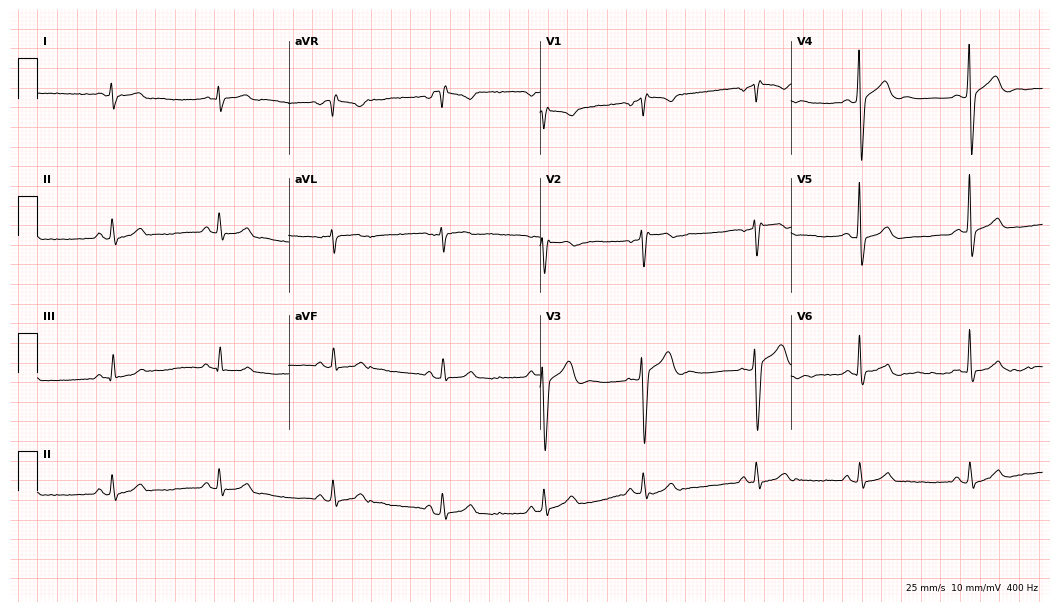
12-lead ECG from a male, 29 years old. No first-degree AV block, right bundle branch block (RBBB), left bundle branch block (LBBB), sinus bradycardia, atrial fibrillation (AF) or sinus tachycardia recorded for this tracing. Only these six findings were labelled.